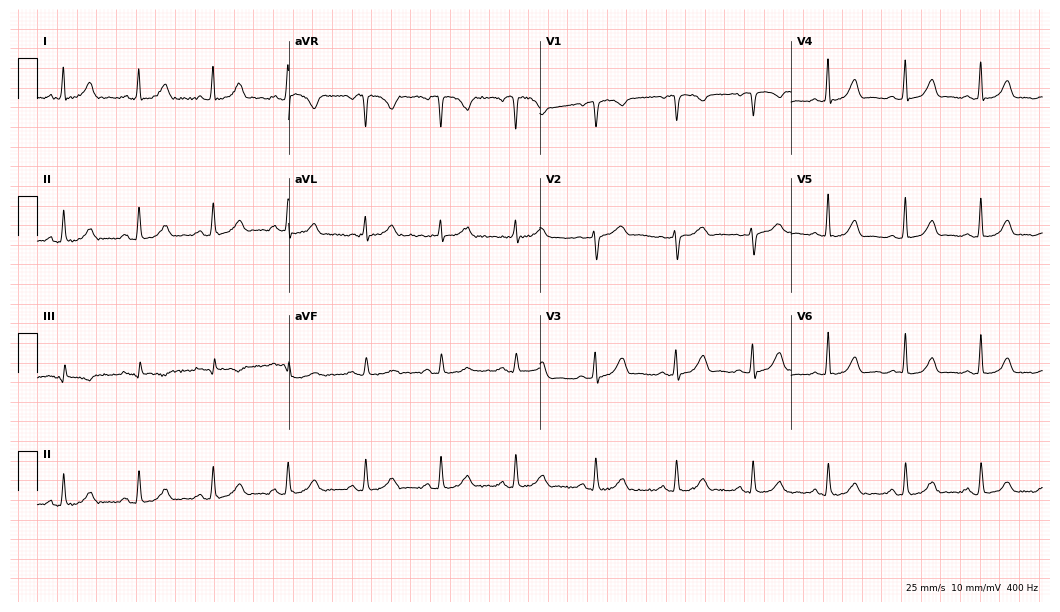
Resting 12-lead electrocardiogram (10.2-second recording at 400 Hz). Patient: a 40-year-old female. Read as a normal ECG.